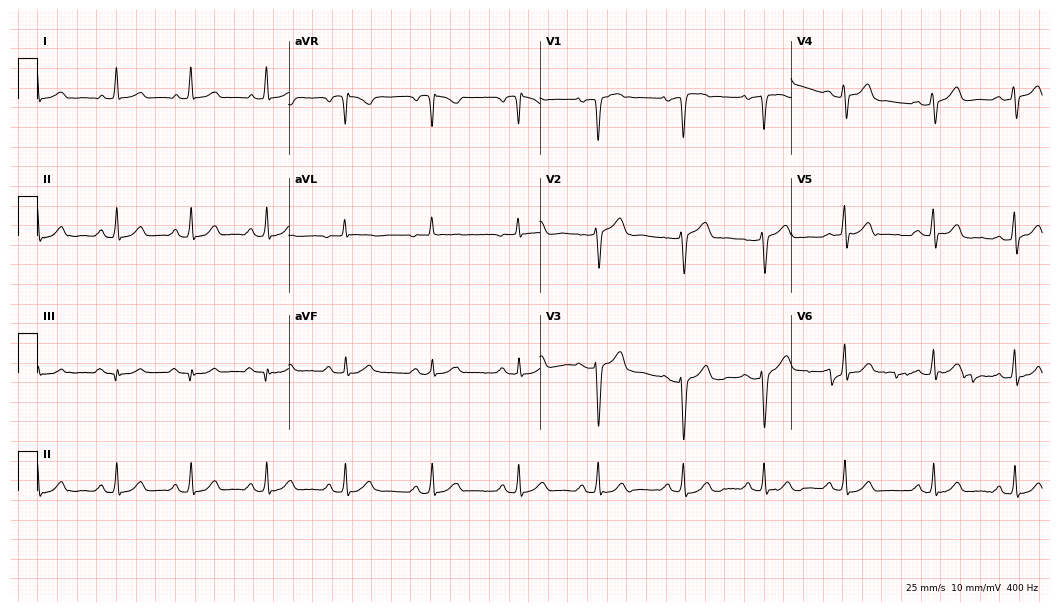
Standard 12-lead ECG recorded from a 48-year-old female. Read as a normal ECG.